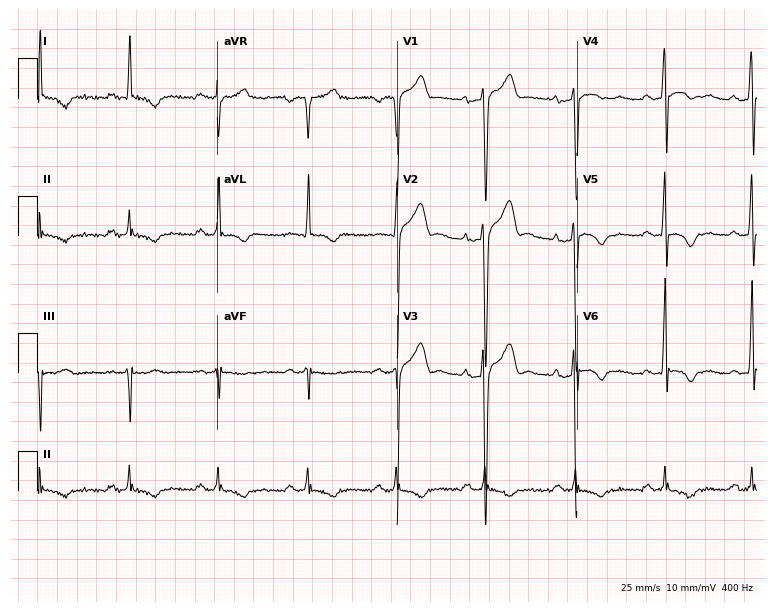
12-lead ECG from a 54-year-old male patient (7.3-second recording at 400 Hz). No first-degree AV block, right bundle branch block, left bundle branch block, sinus bradycardia, atrial fibrillation or sinus tachycardia recorded for this tracing. Findings outside these six are not listed.